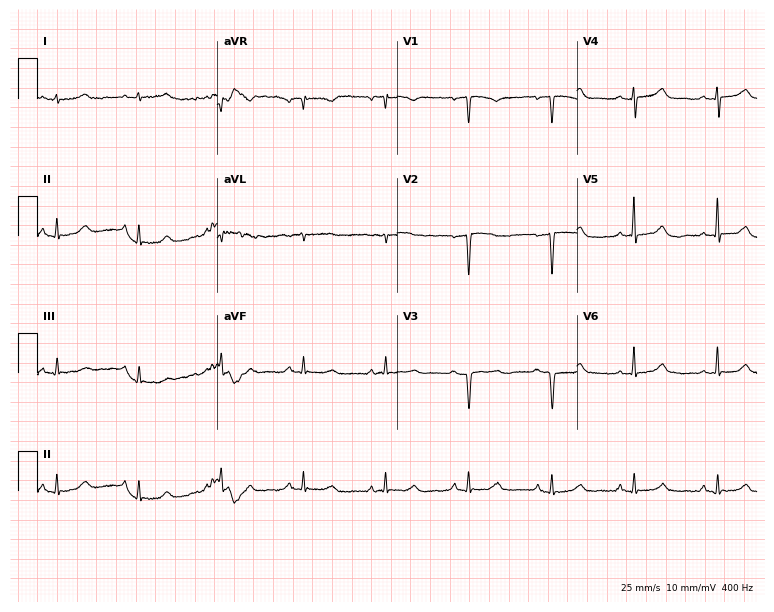
Electrocardiogram (7.3-second recording at 400 Hz), a woman, 50 years old. Overall reading on record: normal ECG.